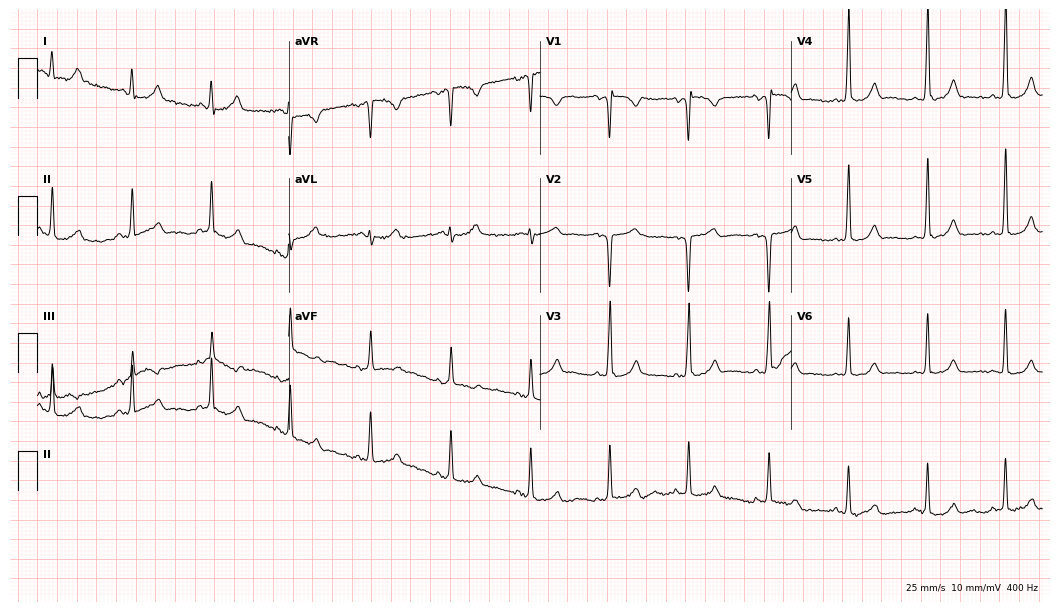
12-lead ECG (10.2-second recording at 400 Hz) from a 32-year-old female patient. Labelled as a normal ECG.